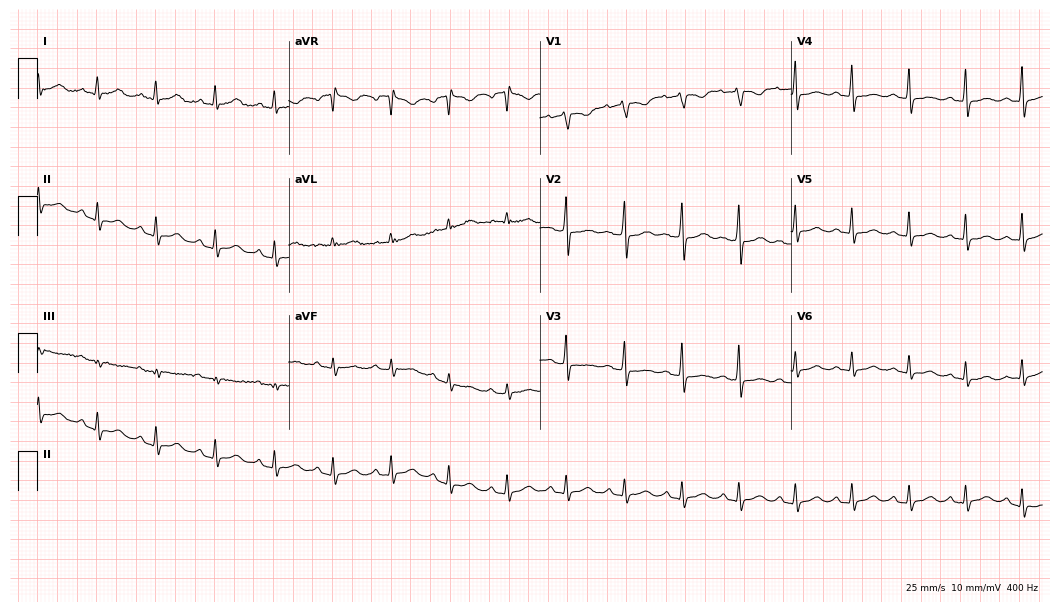
ECG — a 44-year-old woman. Findings include sinus tachycardia (a sinus rate of 100 beats per minute or more).